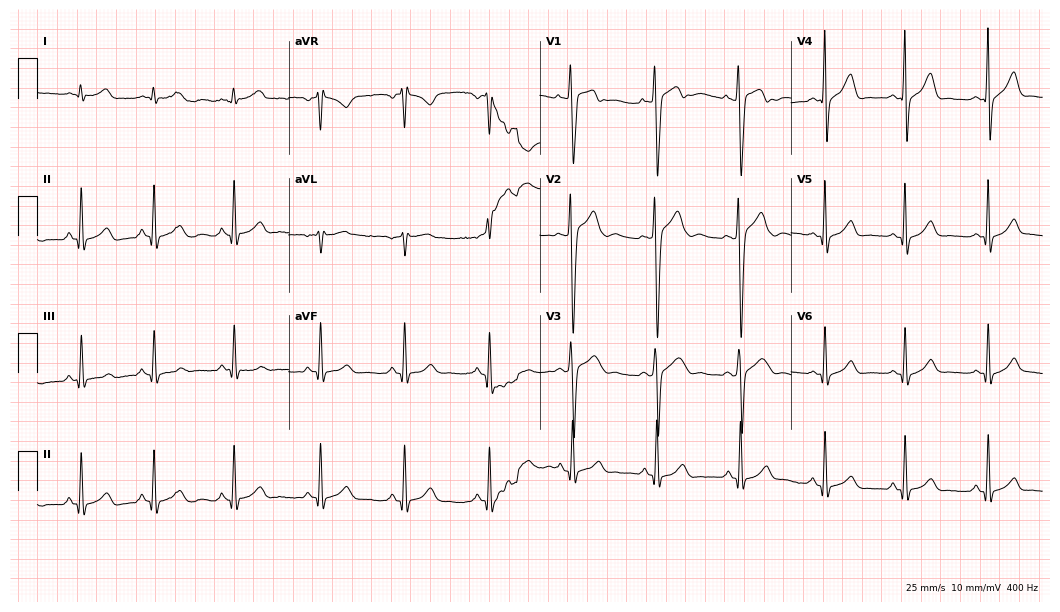
Electrocardiogram (10.2-second recording at 400 Hz), a man, 29 years old. Overall reading on record: normal ECG.